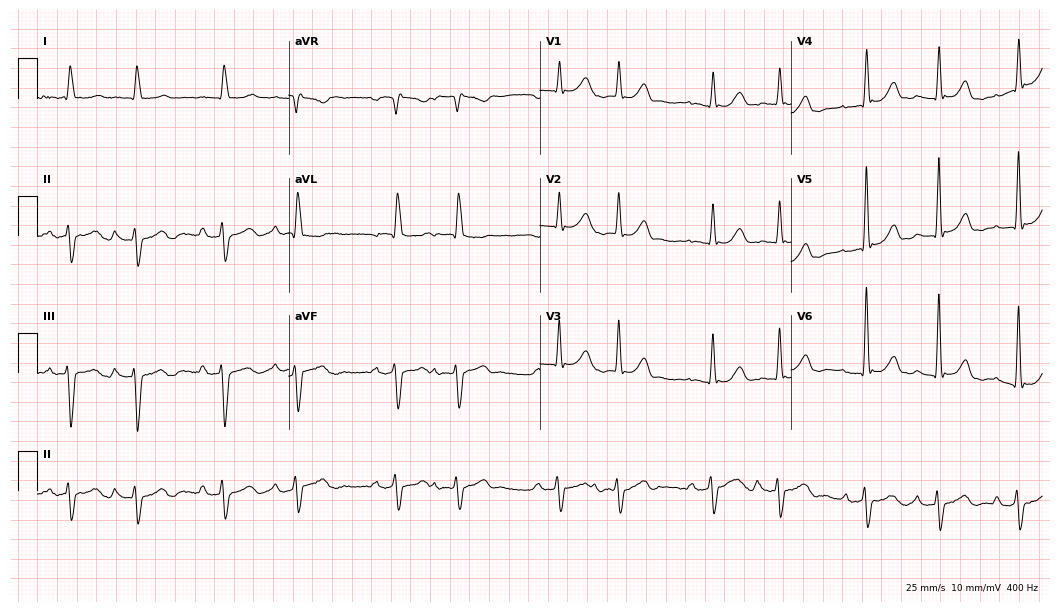
Resting 12-lead electrocardiogram. Patient: a man, 84 years old. None of these six findings is recorded: first-degree AV block, right bundle branch block (RBBB), left bundle branch block (LBBB), sinus bradycardia, atrial fibrillation (AF), sinus tachycardia. Findings outside these six are not listed.